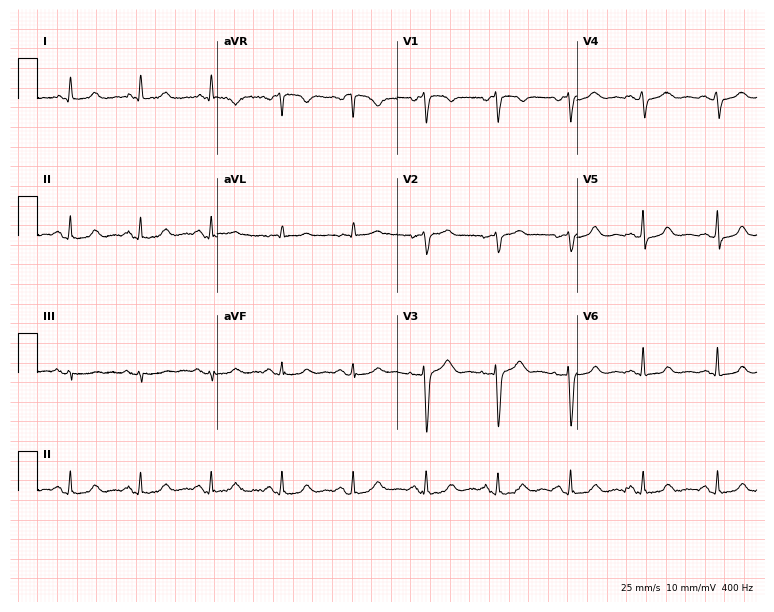
Electrocardiogram (7.3-second recording at 400 Hz), a woman, 48 years old. Of the six screened findings (first-degree AV block, right bundle branch block, left bundle branch block, sinus bradycardia, atrial fibrillation, sinus tachycardia), none is recorded. Other findings, if any, are not listed.